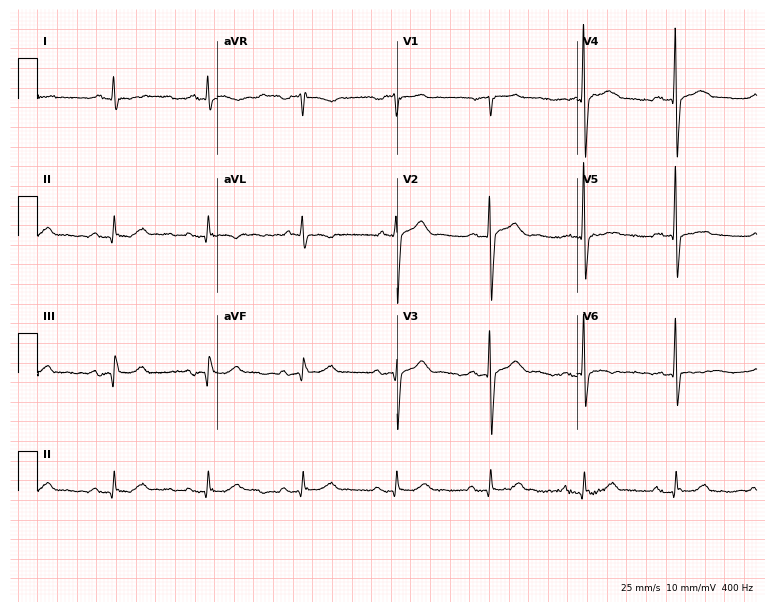
Standard 12-lead ECG recorded from a male patient, 62 years old (7.3-second recording at 400 Hz). Read as a normal ECG.